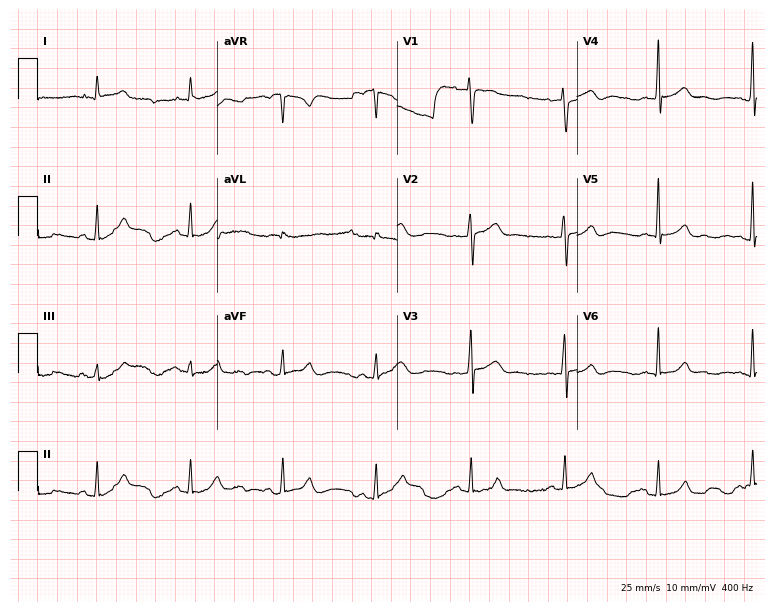
Resting 12-lead electrocardiogram. Patient: a man, 65 years old. Read as a normal ECG.